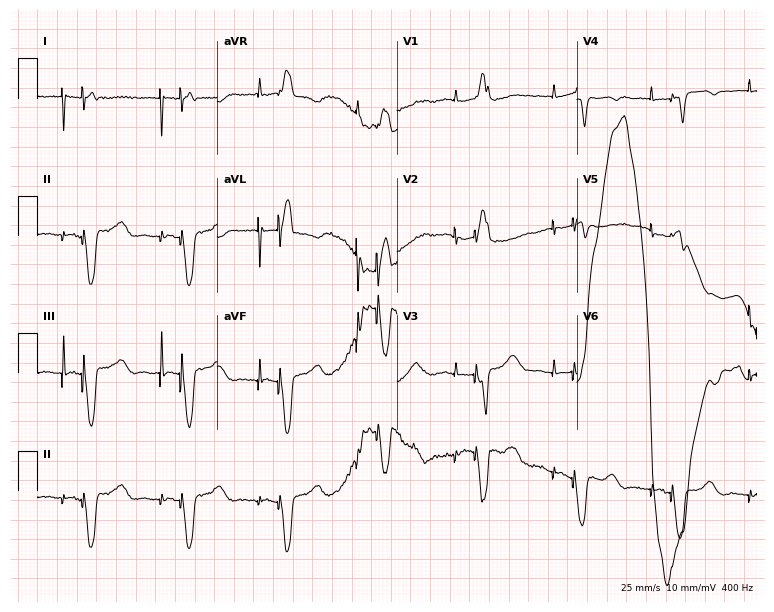
Standard 12-lead ECG recorded from an 84-year-old female patient (7.3-second recording at 400 Hz). None of these six findings is recorded: first-degree AV block, right bundle branch block, left bundle branch block, sinus bradycardia, atrial fibrillation, sinus tachycardia.